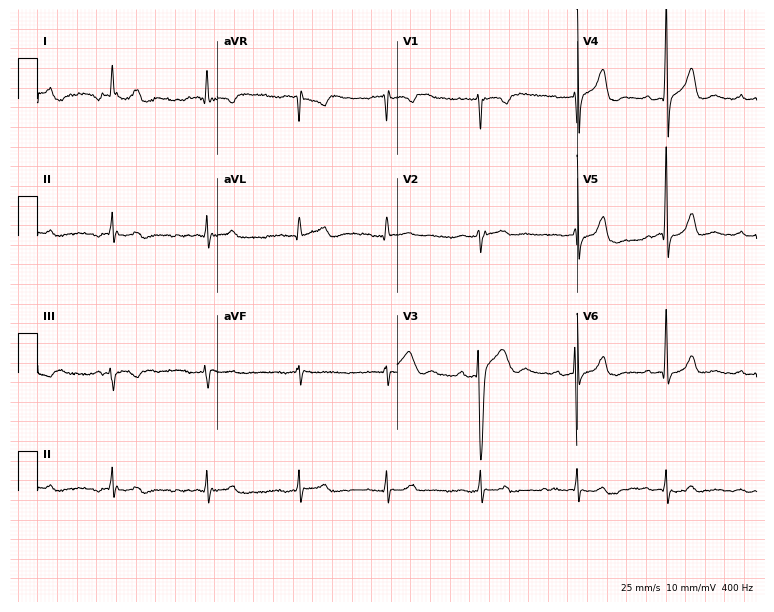
12-lead ECG from a man, 35 years old (7.3-second recording at 400 Hz). Recorded interpretation: within normal limits.